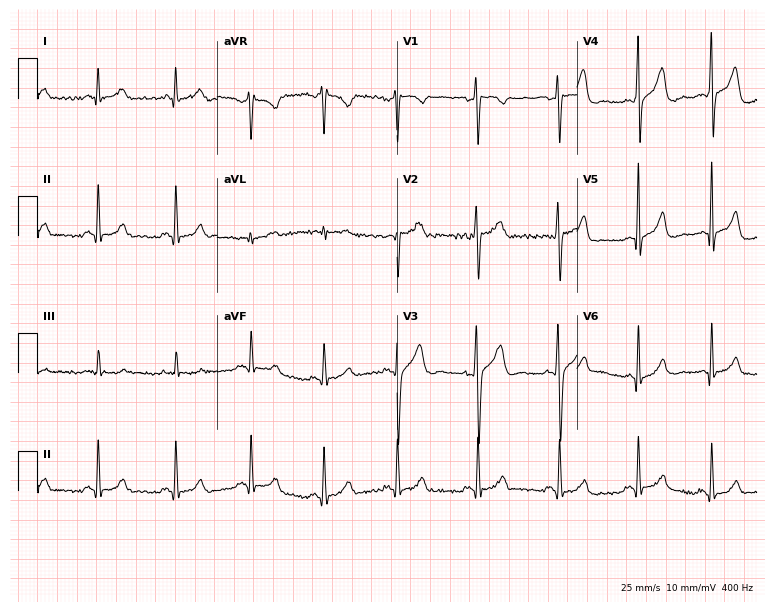
Electrocardiogram (7.3-second recording at 400 Hz), a 34-year-old male. Of the six screened findings (first-degree AV block, right bundle branch block, left bundle branch block, sinus bradycardia, atrial fibrillation, sinus tachycardia), none is recorded.